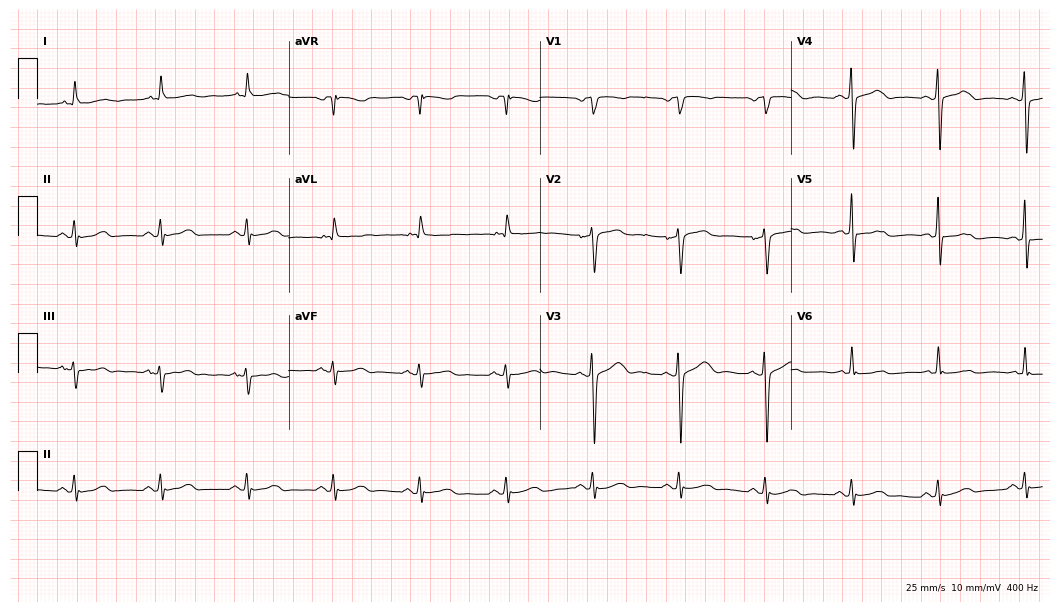
ECG — a man, 87 years old. Labelled as a normal ECG.